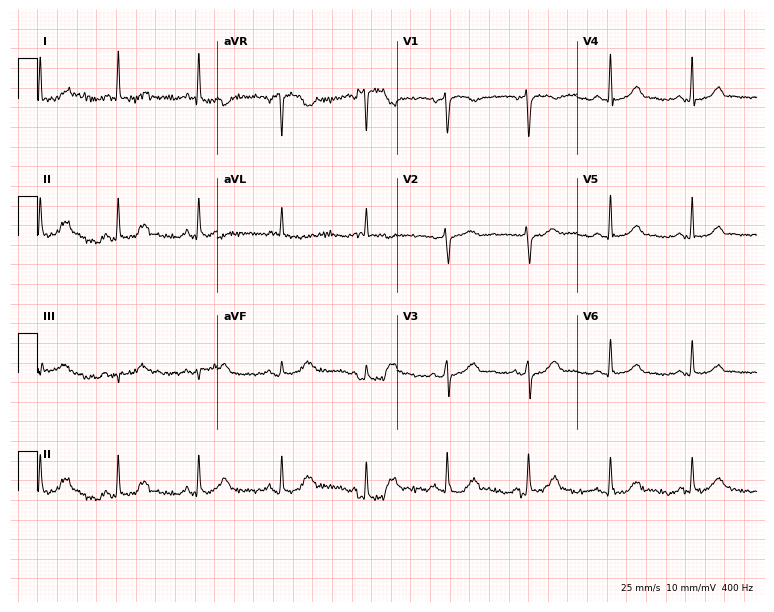
12-lead ECG from a female patient, 55 years old (7.3-second recording at 400 Hz). No first-degree AV block, right bundle branch block (RBBB), left bundle branch block (LBBB), sinus bradycardia, atrial fibrillation (AF) or sinus tachycardia recorded for this tracing.